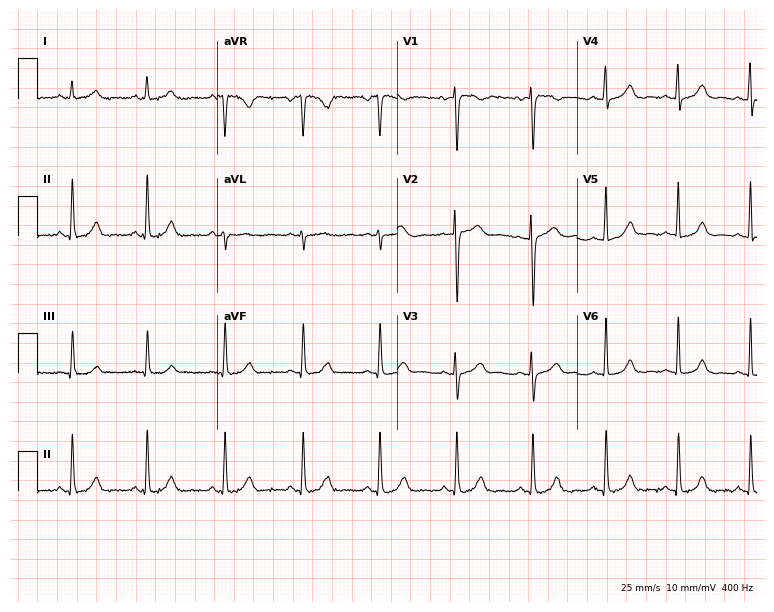
Electrocardiogram, a male patient, 46 years old. Overall reading on record: normal ECG.